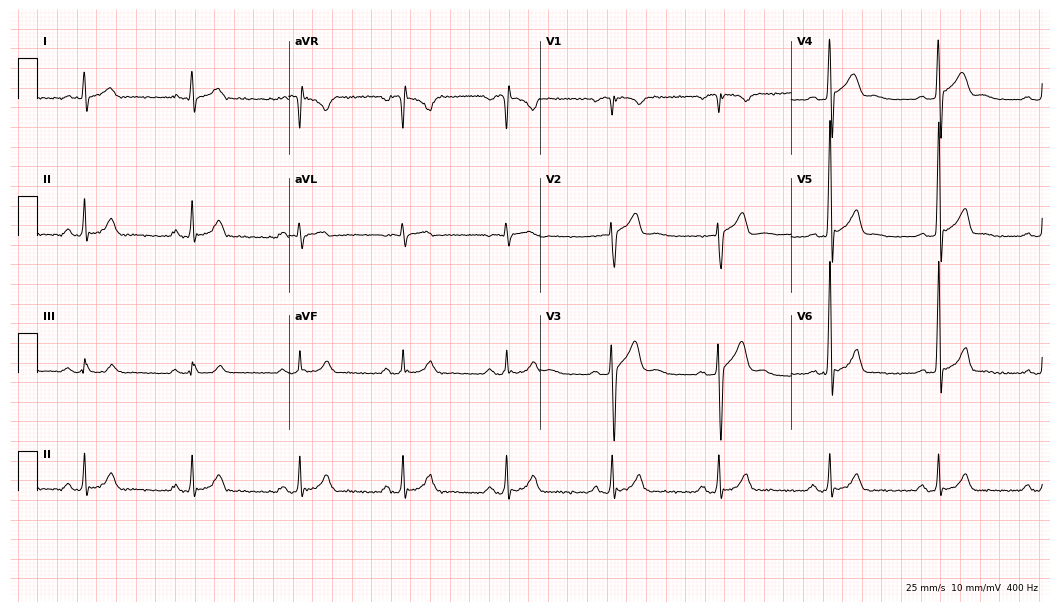
Electrocardiogram, a 37-year-old man. Overall reading on record: normal ECG.